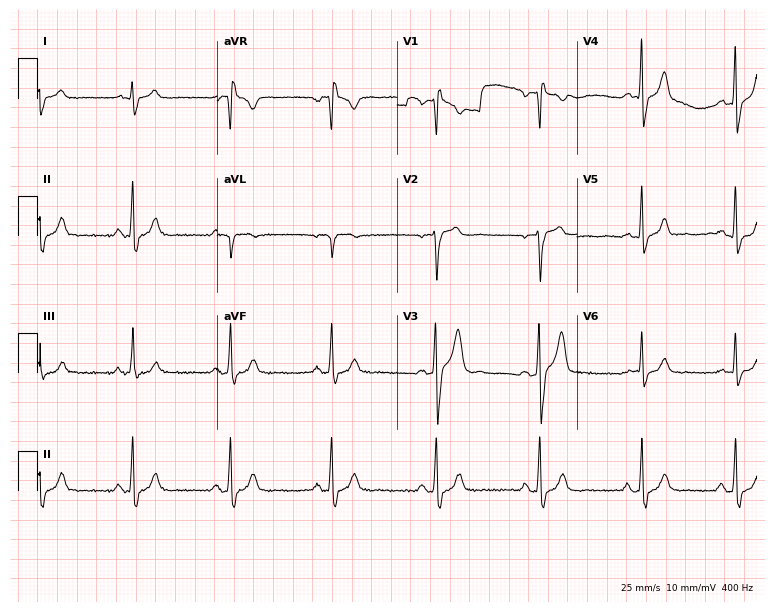
12-lead ECG from a 26-year-old male patient. Screened for six findings — first-degree AV block, right bundle branch block, left bundle branch block, sinus bradycardia, atrial fibrillation, sinus tachycardia — none is recorded. Other findings, if any, are not listed.